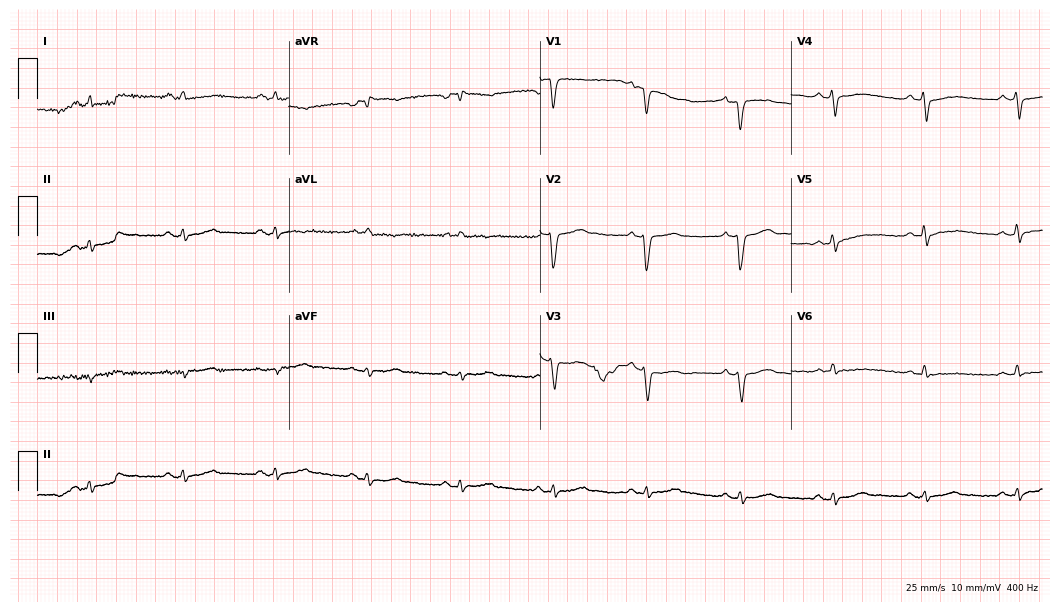
Resting 12-lead electrocardiogram (10.2-second recording at 400 Hz). Patient: a male, 61 years old. None of these six findings is recorded: first-degree AV block, right bundle branch block, left bundle branch block, sinus bradycardia, atrial fibrillation, sinus tachycardia.